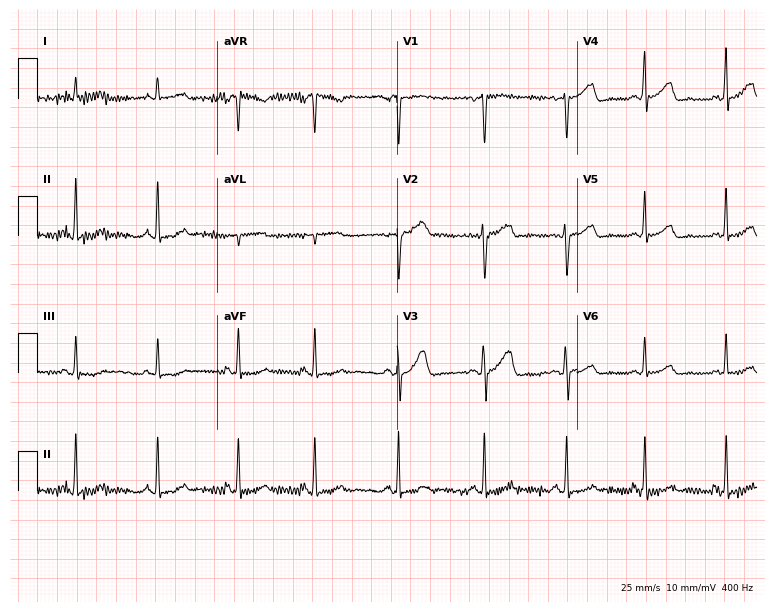
Electrocardiogram, a female patient, 32 years old. Of the six screened findings (first-degree AV block, right bundle branch block (RBBB), left bundle branch block (LBBB), sinus bradycardia, atrial fibrillation (AF), sinus tachycardia), none is recorded. Only these six findings were labelled.